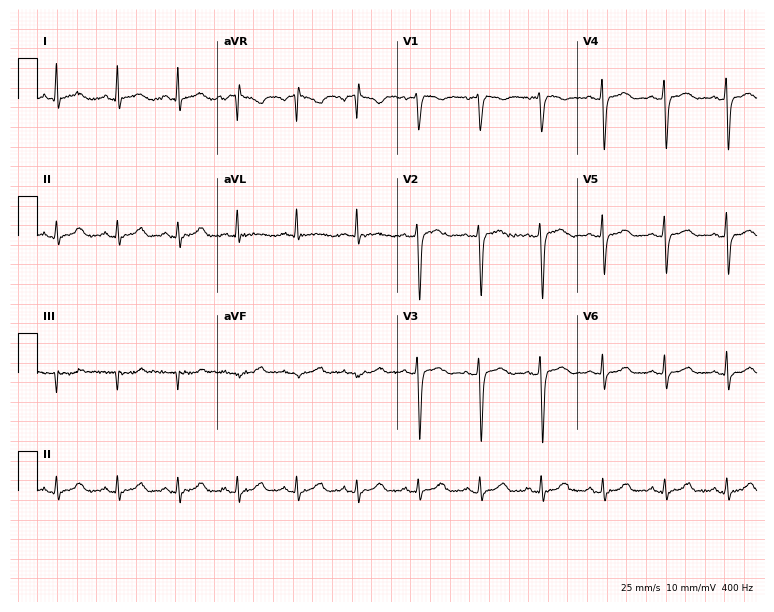
12-lead ECG (7.3-second recording at 400 Hz) from a 60-year-old female patient. Screened for six findings — first-degree AV block, right bundle branch block, left bundle branch block, sinus bradycardia, atrial fibrillation, sinus tachycardia — none is recorded. Findings outside these six are not listed.